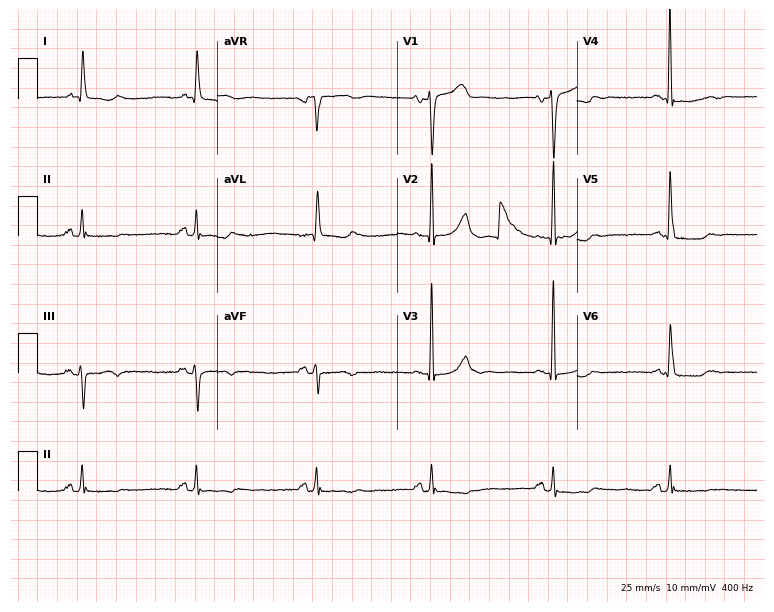
Electrocardiogram (7.3-second recording at 400 Hz), a female patient, 84 years old. Of the six screened findings (first-degree AV block, right bundle branch block, left bundle branch block, sinus bradycardia, atrial fibrillation, sinus tachycardia), none is recorded.